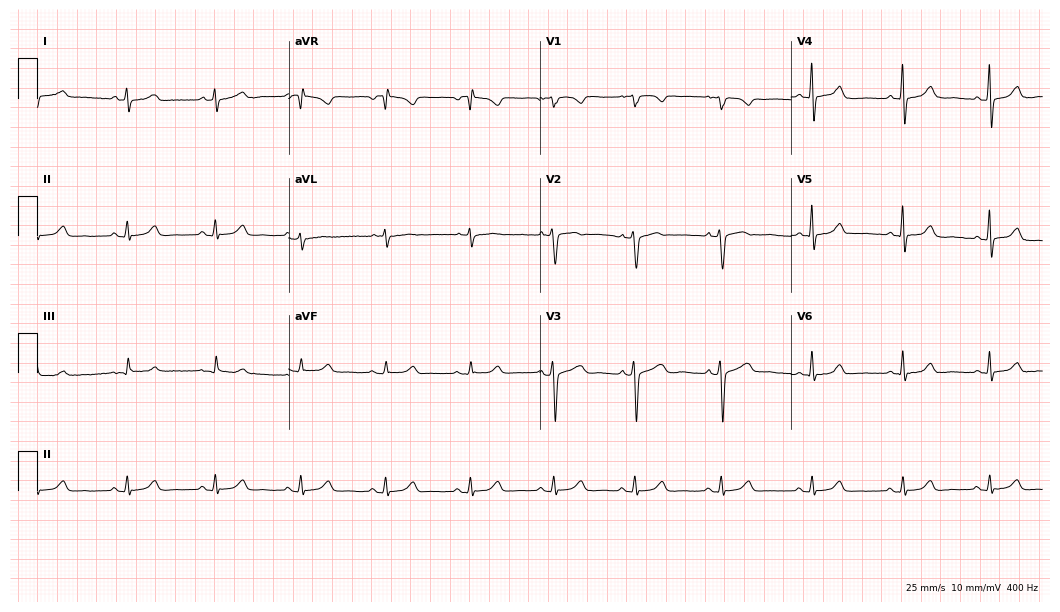
Standard 12-lead ECG recorded from a 43-year-old female patient. Read as a normal ECG.